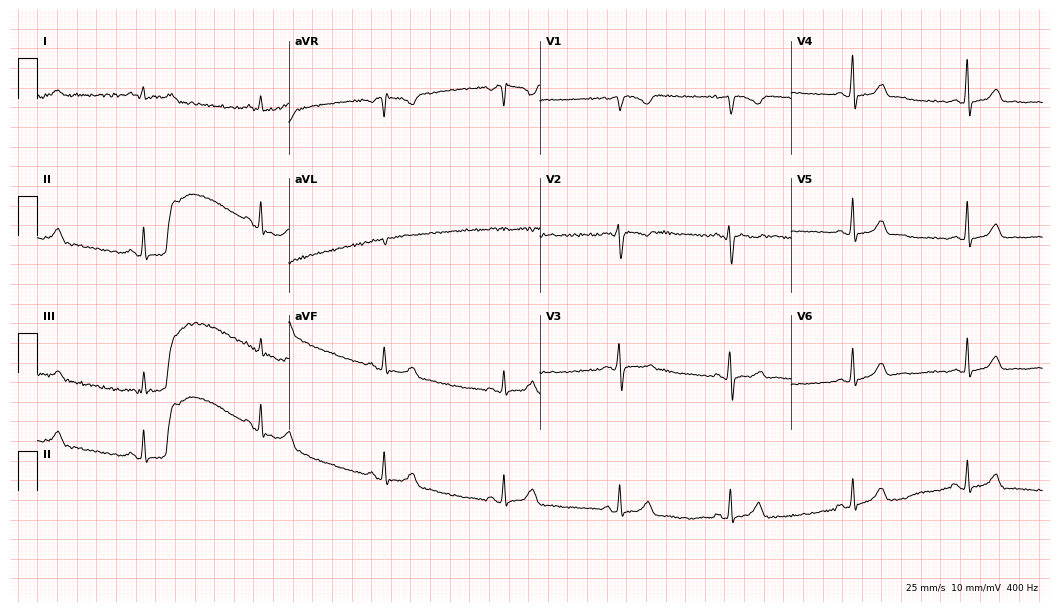
12-lead ECG (10.2-second recording at 400 Hz) from a 29-year-old female. Screened for six findings — first-degree AV block, right bundle branch block, left bundle branch block, sinus bradycardia, atrial fibrillation, sinus tachycardia — none is recorded. Other findings, if any, are not listed.